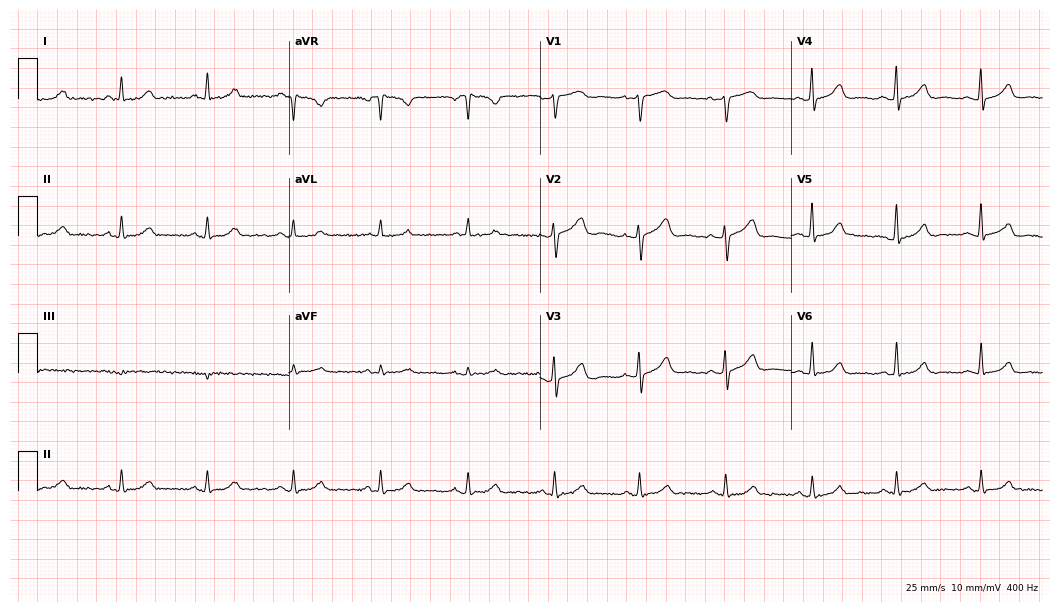
Resting 12-lead electrocardiogram (10.2-second recording at 400 Hz). Patient: a woman, 52 years old. Read as a normal ECG.